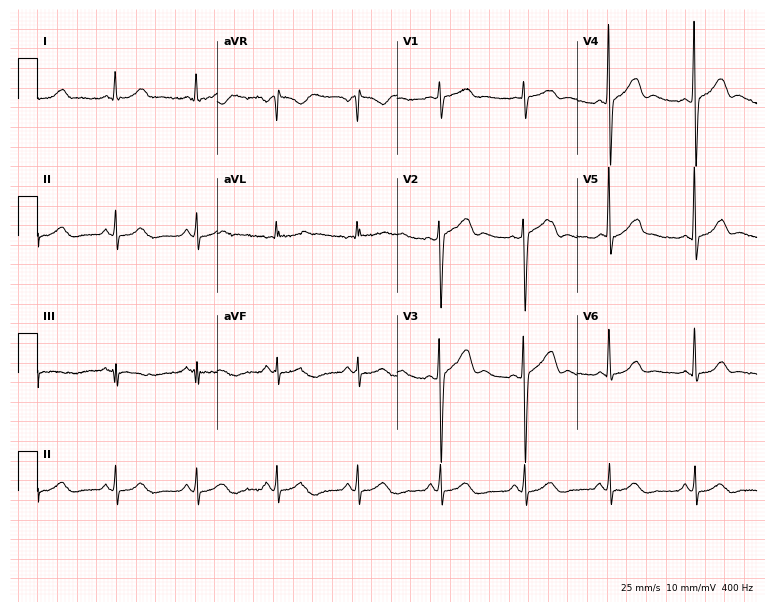
Resting 12-lead electrocardiogram (7.3-second recording at 400 Hz). Patient: a male, 58 years old. None of these six findings is recorded: first-degree AV block, right bundle branch block (RBBB), left bundle branch block (LBBB), sinus bradycardia, atrial fibrillation (AF), sinus tachycardia.